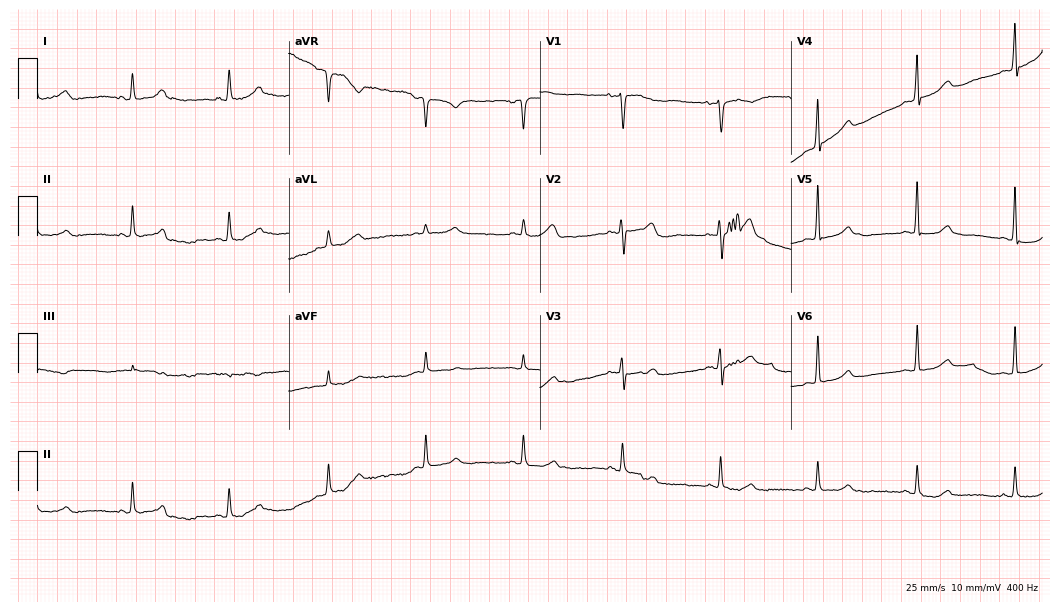
Resting 12-lead electrocardiogram. Patient: a 63-year-old female. None of these six findings is recorded: first-degree AV block, right bundle branch block, left bundle branch block, sinus bradycardia, atrial fibrillation, sinus tachycardia.